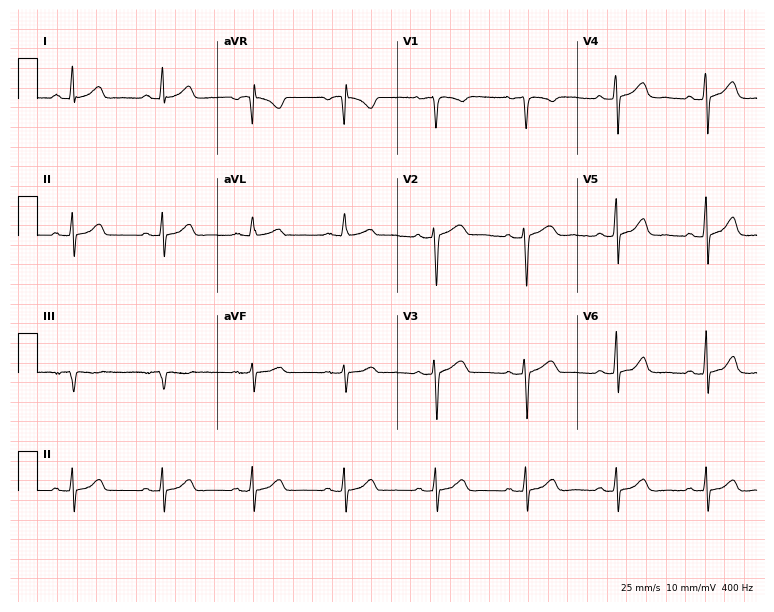
Standard 12-lead ECG recorded from a woman, 32 years old (7.3-second recording at 400 Hz). None of these six findings is recorded: first-degree AV block, right bundle branch block, left bundle branch block, sinus bradycardia, atrial fibrillation, sinus tachycardia. Only these six findings were labelled.